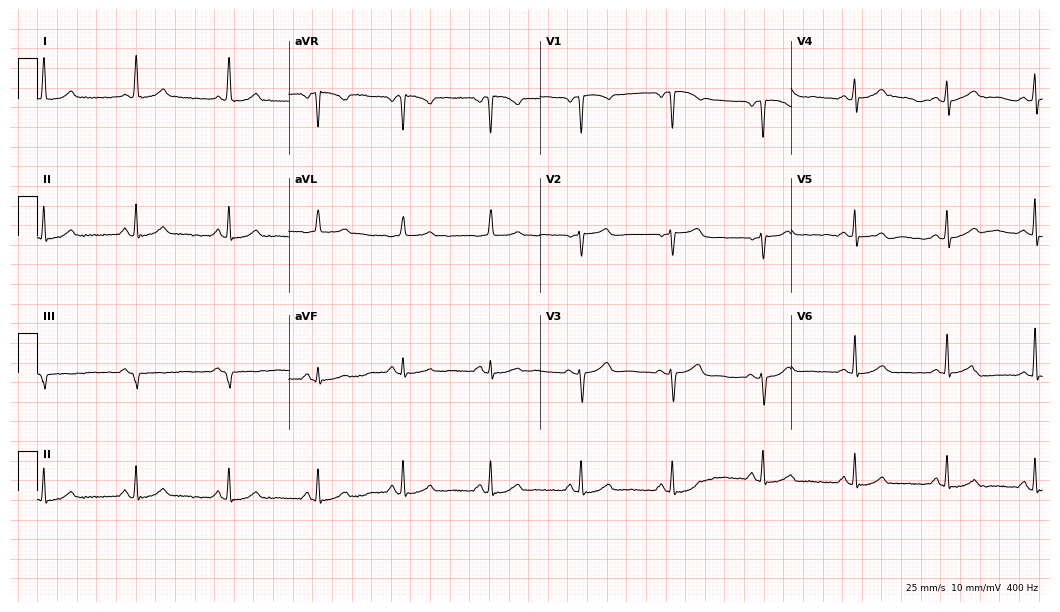
Standard 12-lead ECG recorded from a female patient, 46 years old (10.2-second recording at 400 Hz). Read as a normal ECG.